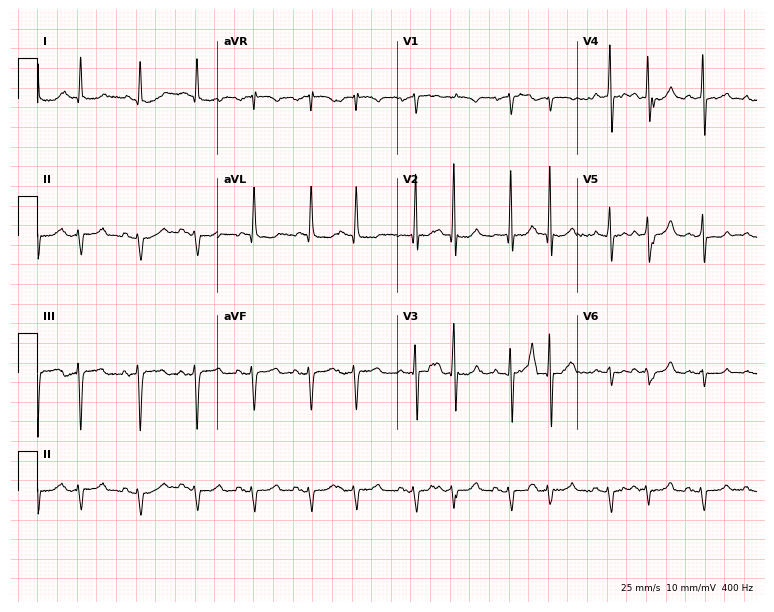
Electrocardiogram, a man, 80 years old. Of the six screened findings (first-degree AV block, right bundle branch block, left bundle branch block, sinus bradycardia, atrial fibrillation, sinus tachycardia), none is recorded. Only these six findings were labelled.